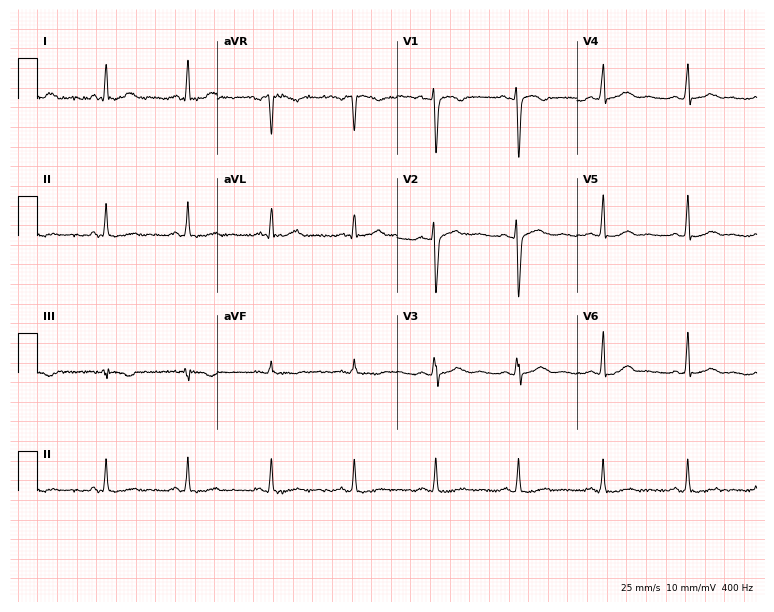
12-lead ECG from a female patient, 45 years old. Screened for six findings — first-degree AV block, right bundle branch block, left bundle branch block, sinus bradycardia, atrial fibrillation, sinus tachycardia — none is recorded. Other findings, if any, are not listed.